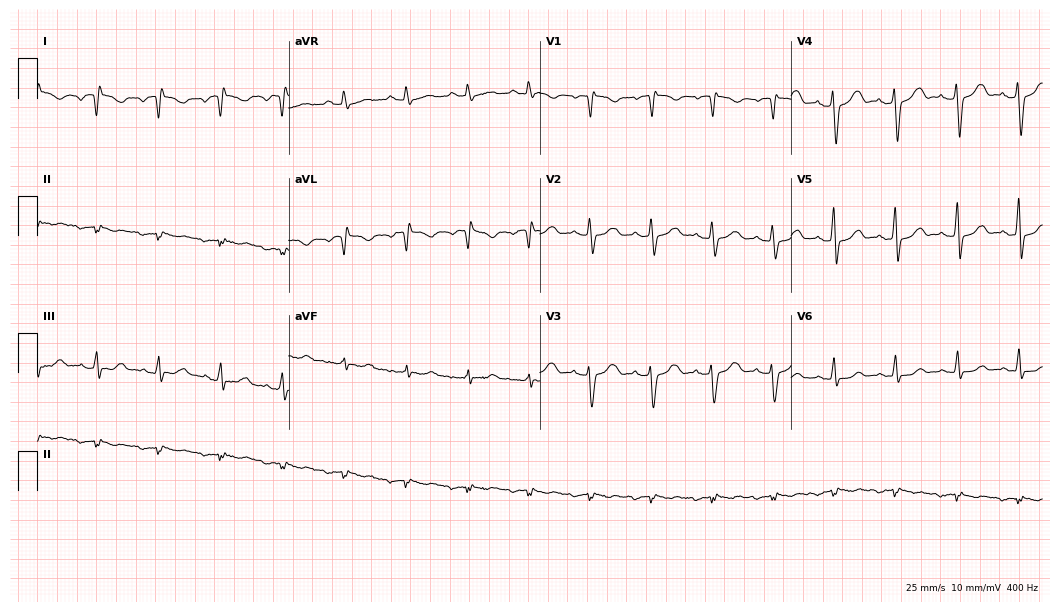
ECG — a 46-year-old female patient. Screened for six findings — first-degree AV block, right bundle branch block, left bundle branch block, sinus bradycardia, atrial fibrillation, sinus tachycardia — none is recorded.